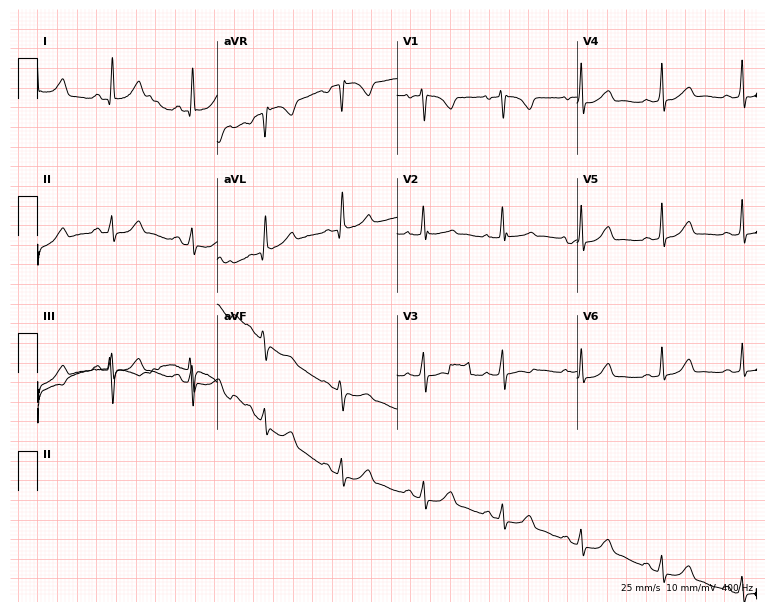
Electrocardiogram (7.3-second recording at 400 Hz), a 25-year-old female patient. Of the six screened findings (first-degree AV block, right bundle branch block, left bundle branch block, sinus bradycardia, atrial fibrillation, sinus tachycardia), none is recorded. Other findings, if any, are not listed.